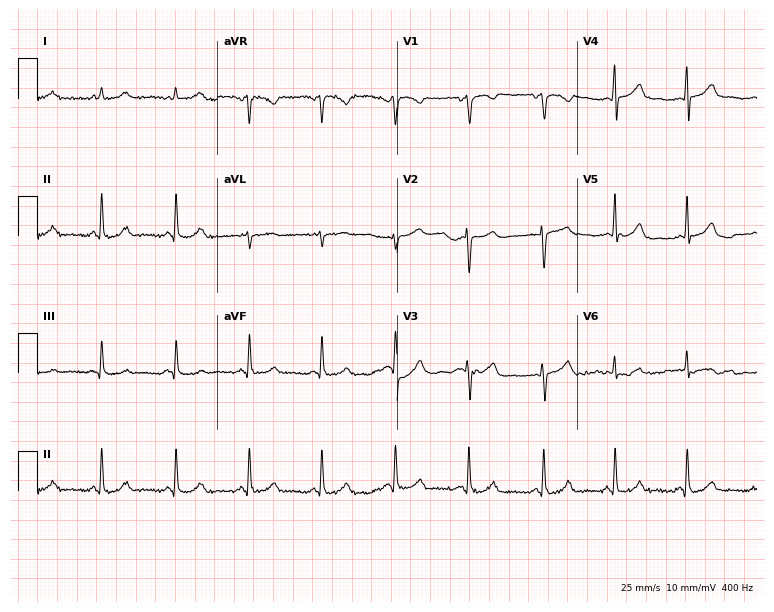
12-lead ECG from a female patient, 45 years old. No first-degree AV block, right bundle branch block (RBBB), left bundle branch block (LBBB), sinus bradycardia, atrial fibrillation (AF) or sinus tachycardia recorded for this tracing.